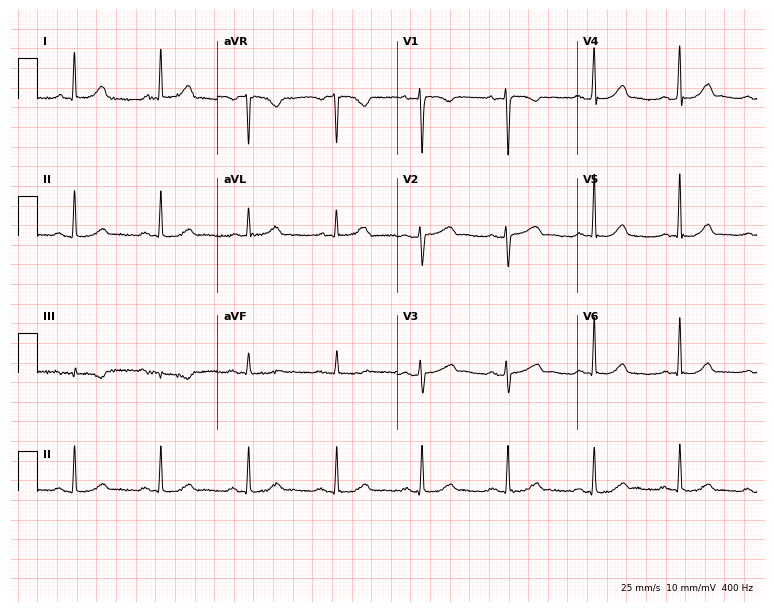
Resting 12-lead electrocardiogram. Patient: a 41-year-old female. None of these six findings is recorded: first-degree AV block, right bundle branch block, left bundle branch block, sinus bradycardia, atrial fibrillation, sinus tachycardia.